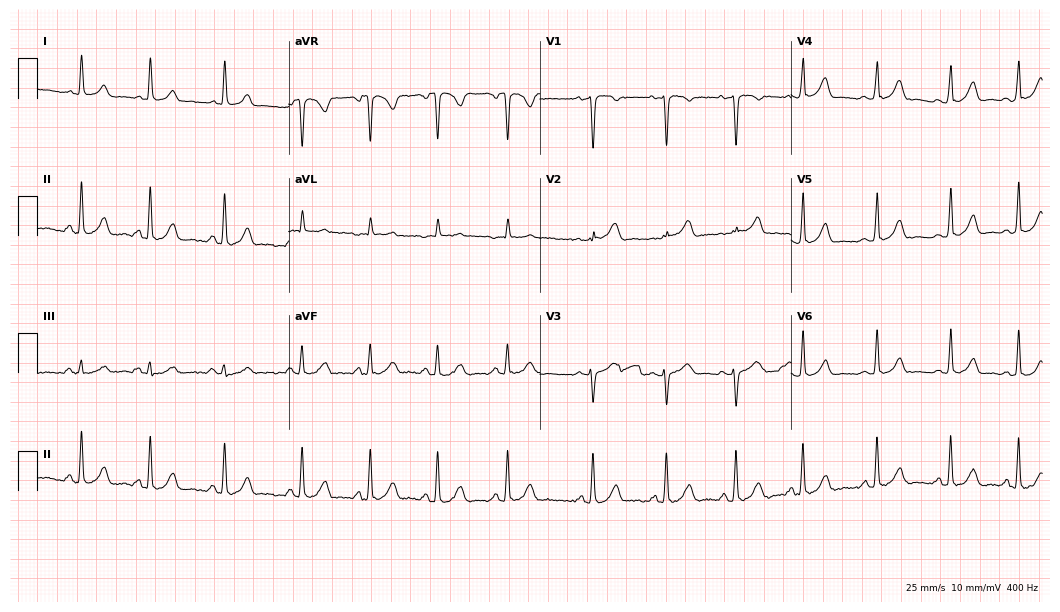
ECG (10.2-second recording at 400 Hz) — a female patient, 19 years old. Labelled as a normal ECG.